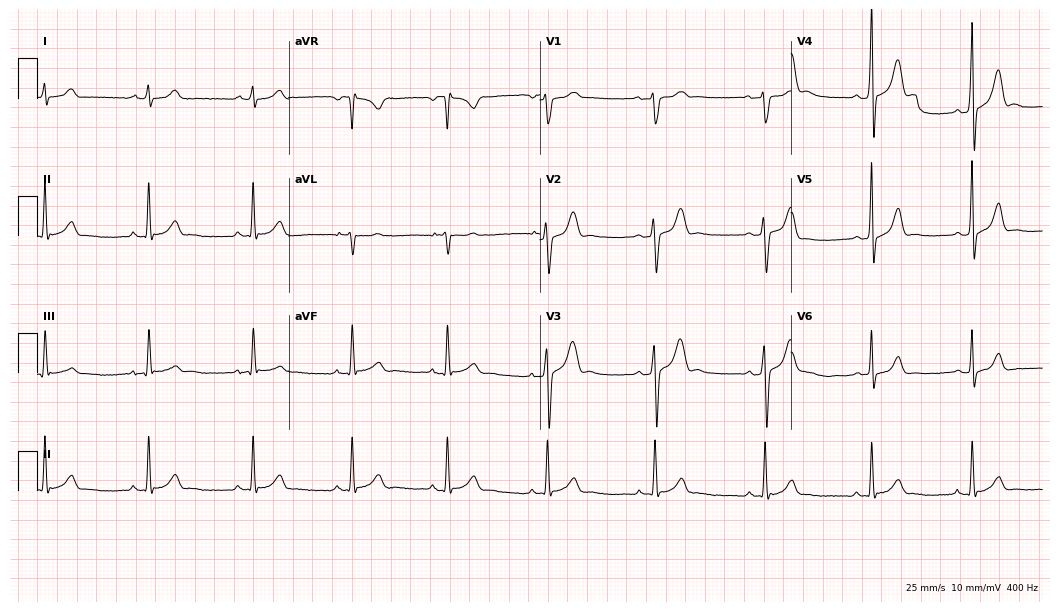
Electrocardiogram, a man, 21 years old. Overall reading on record: normal ECG.